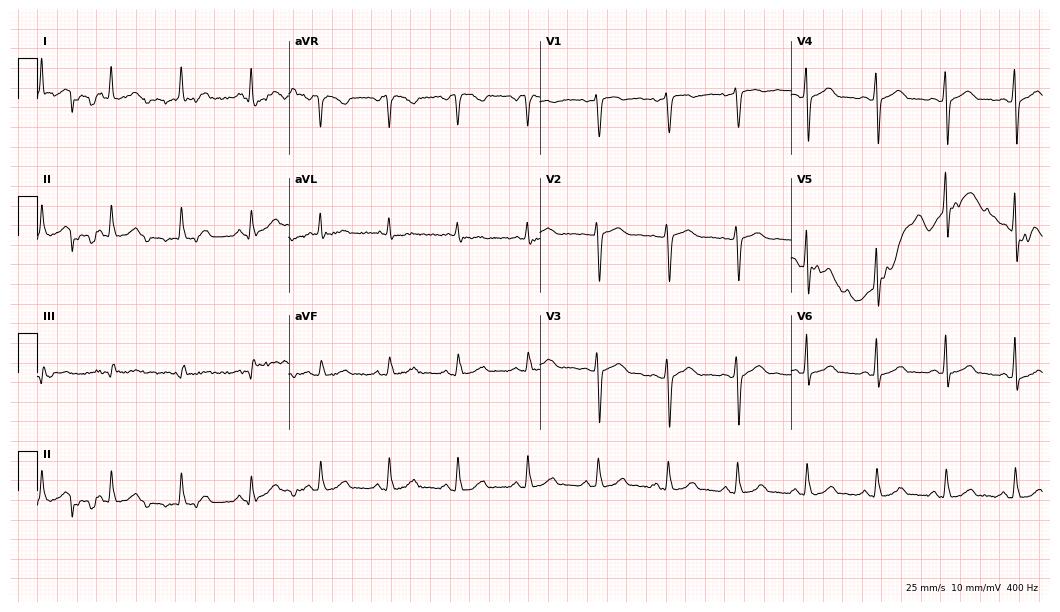
Resting 12-lead electrocardiogram (10.2-second recording at 400 Hz). Patient: a 50-year-old female. Read as a normal ECG.